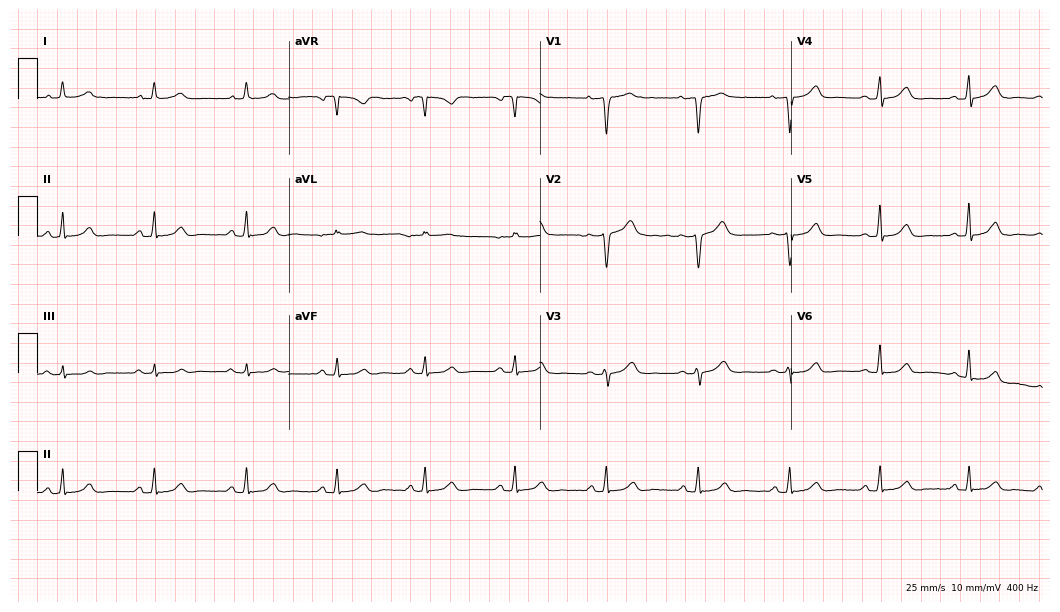
Resting 12-lead electrocardiogram (10.2-second recording at 400 Hz). Patient: a woman, 42 years old. None of these six findings is recorded: first-degree AV block, right bundle branch block, left bundle branch block, sinus bradycardia, atrial fibrillation, sinus tachycardia.